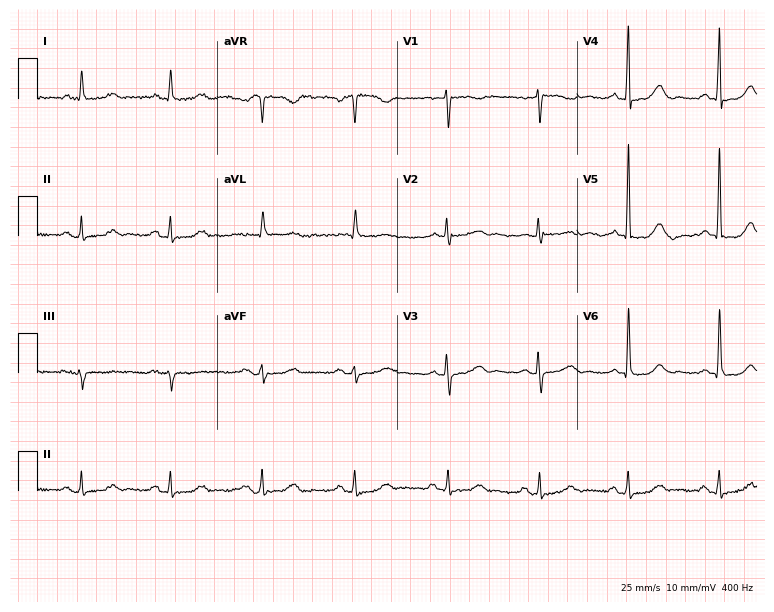
12-lead ECG from a woman, 58 years old (7.3-second recording at 400 Hz). Recorded interpretation: within normal limits.